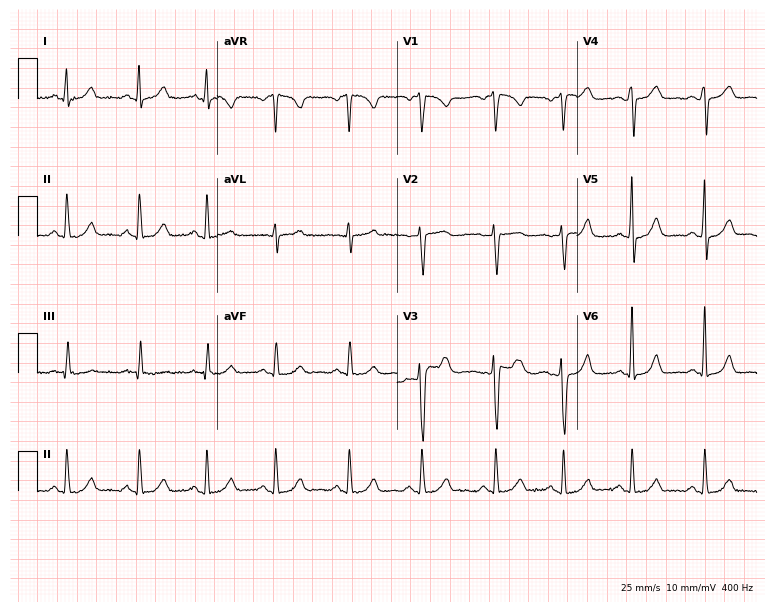
Standard 12-lead ECG recorded from a 51-year-old female. Read as a normal ECG.